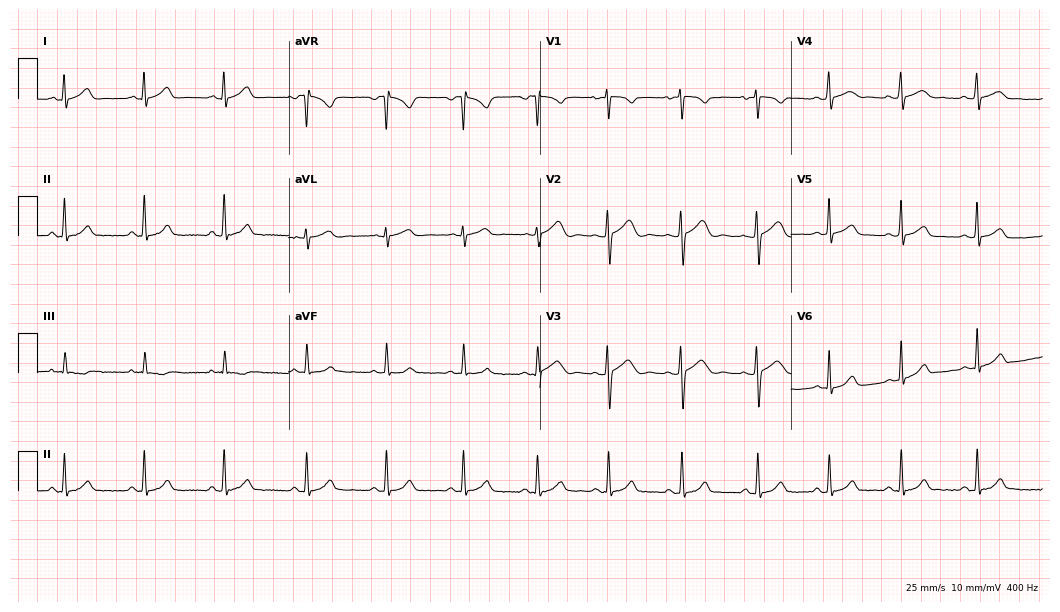
12-lead ECG from a female, 19 years old. Labelled as a normal ECG.